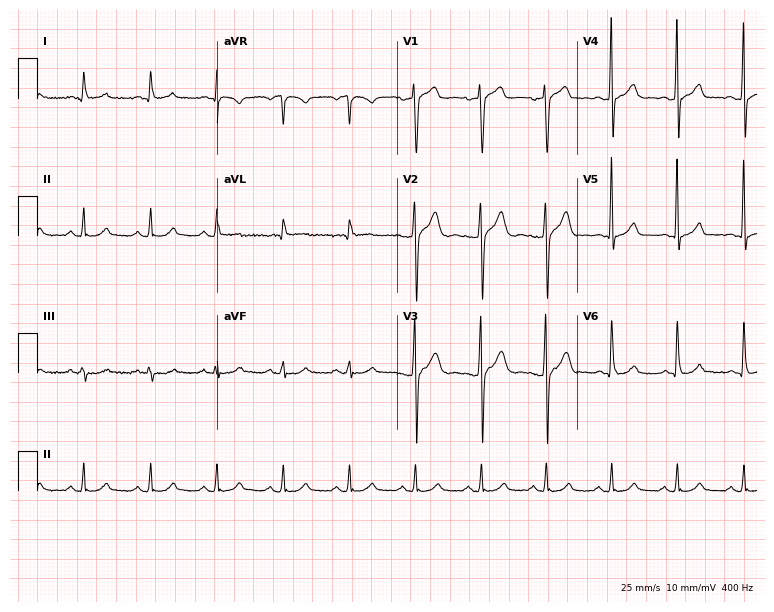
12-lead ECG from a 42-year-old male. Labelled as a normal ECG.